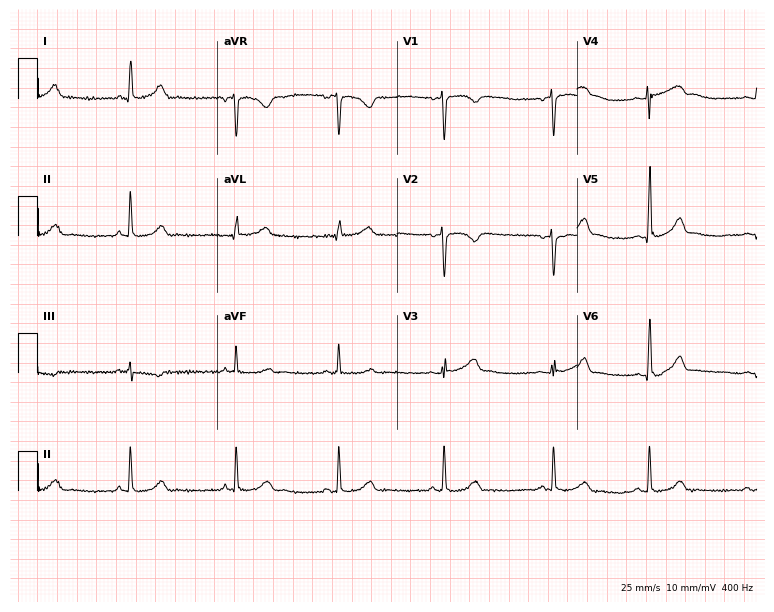
ECG (7.3-second recording at 400 Hz) — a woman, 31 years old. Labelled as a normal ECG.